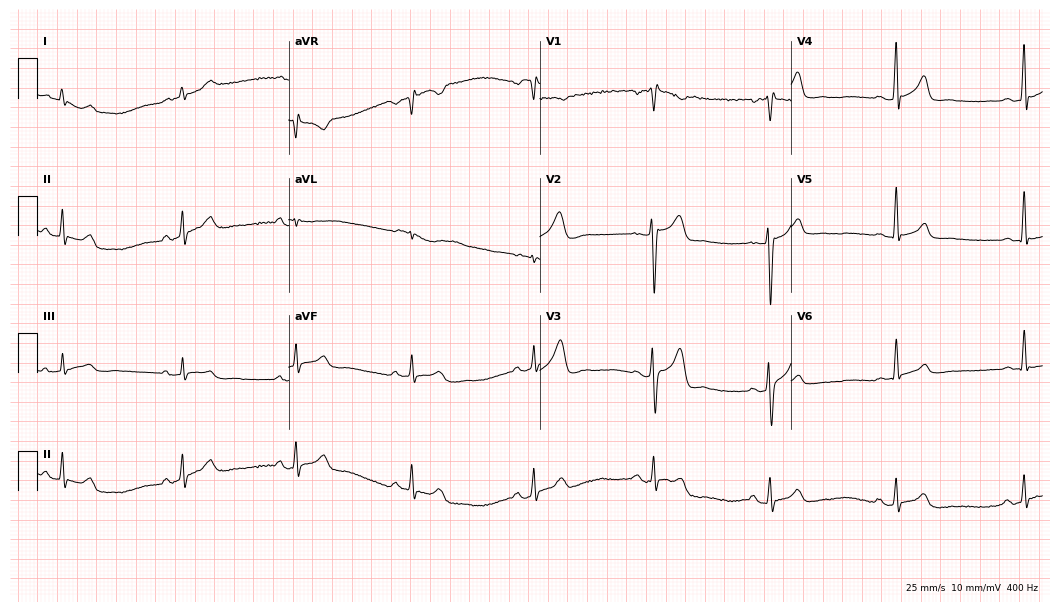
Electrocardiogram, a 35-year-old male. Of the six screened findings (first-degree AV block, right bundle branch block, left bundle branch block, sinus bradycardia, atrial fibrillation, sinus tachycardia), none is recorded.